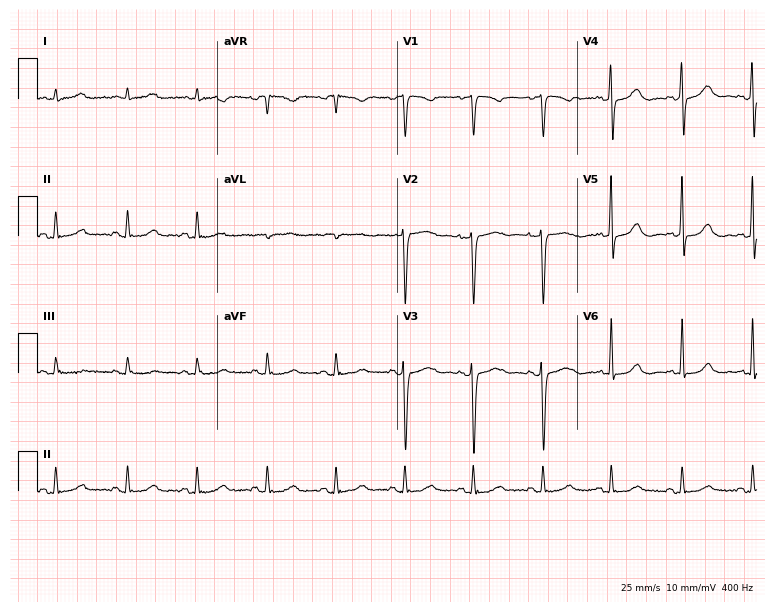
12-lead ECG from a female, 61 years old. Recorded interpretation: within normal limits.